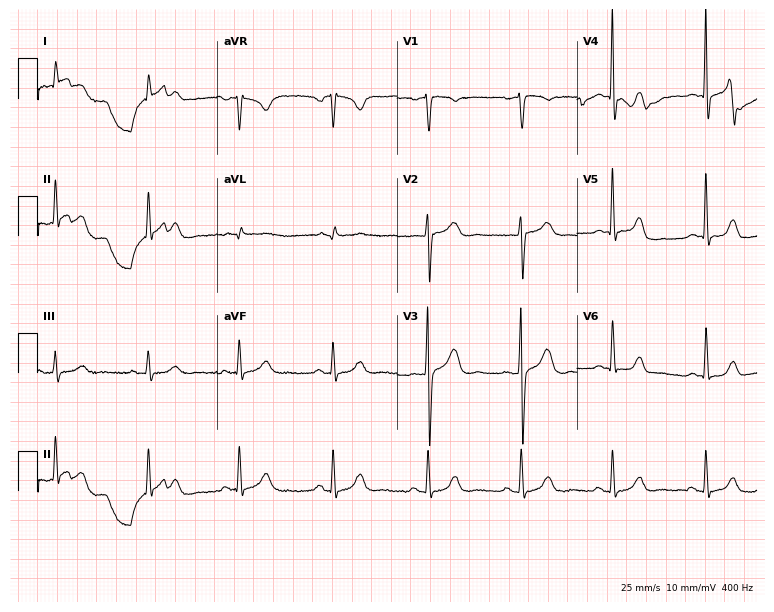
ECG — a female patient, 63 years old. Labelled as a normal ECG.